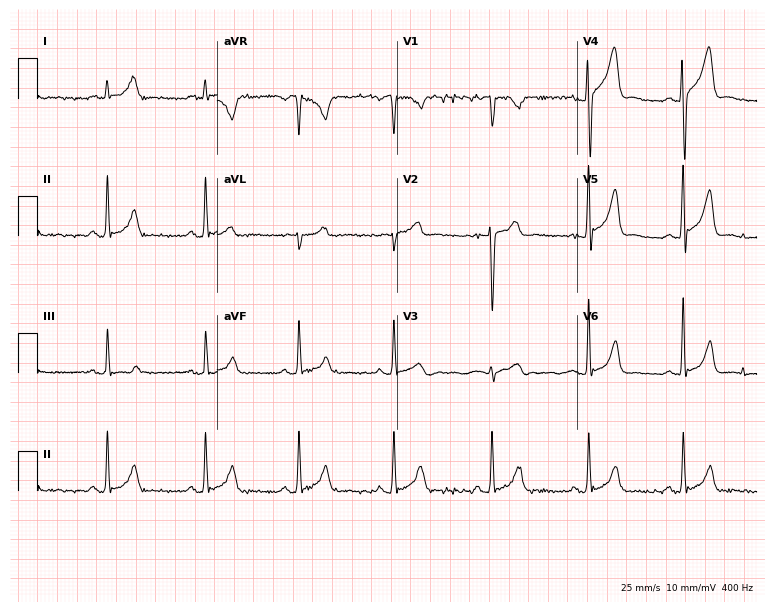
Electrocardiogram (7.3-second recording at 400 Hz), a man, 17 years old. Of the six screened findings (first-degree AV block, right bundle branch block, left bundle branch block, sinus bradycardia, atrial fibrillation, sinus tachycardia), none is recorded.